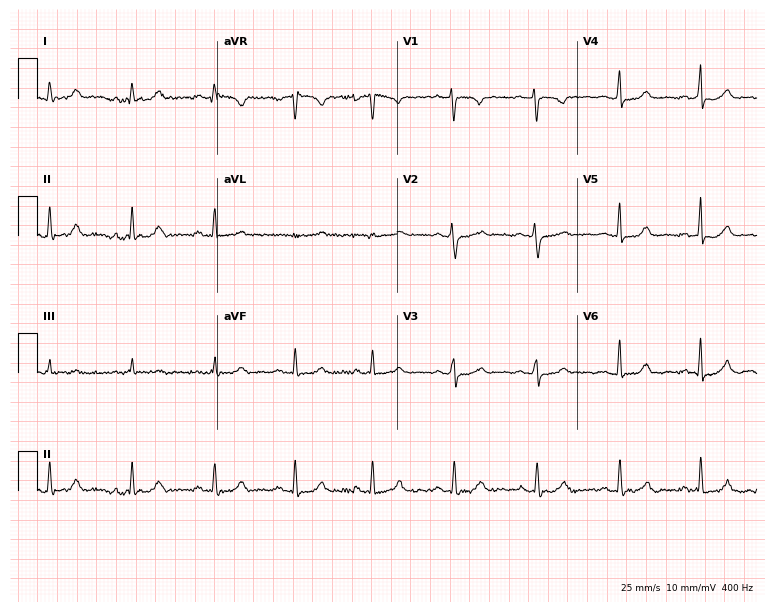
Electrocardiogram, a woman, 27 years old. Of the six screened findings (first-degree AV block, right bundle branch block (RBBB), left bundle branch block (LBBB), sinus bradycardia, atrial fibrillation (AF), sinus tachycardia), none is recorded.